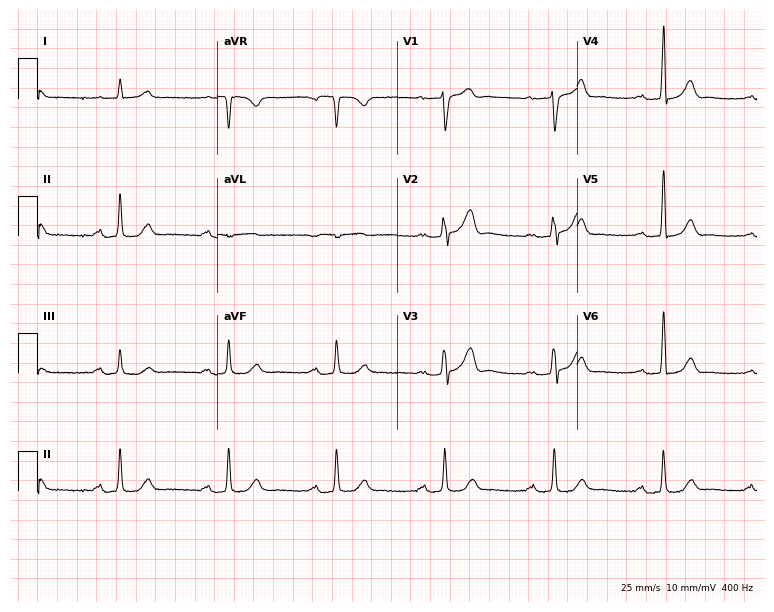
12-lead ECG from a male patient, 80 years old. Findings include first-degree AV block.